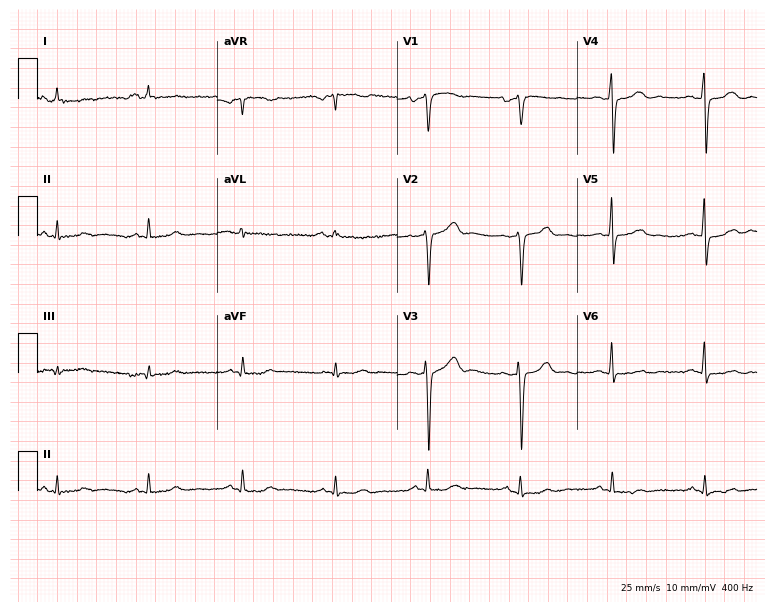
Standard 12-lead ECG recorded from a 64-year-old male (7.3-second recording at 400 Hz). None of these six findings is recorded: first-degree AV block, right bundle branch block, left bundle branch block, sinus bradycardia, atrial fibrillation, sinus tachycardia. Findings outside these six are not listed.